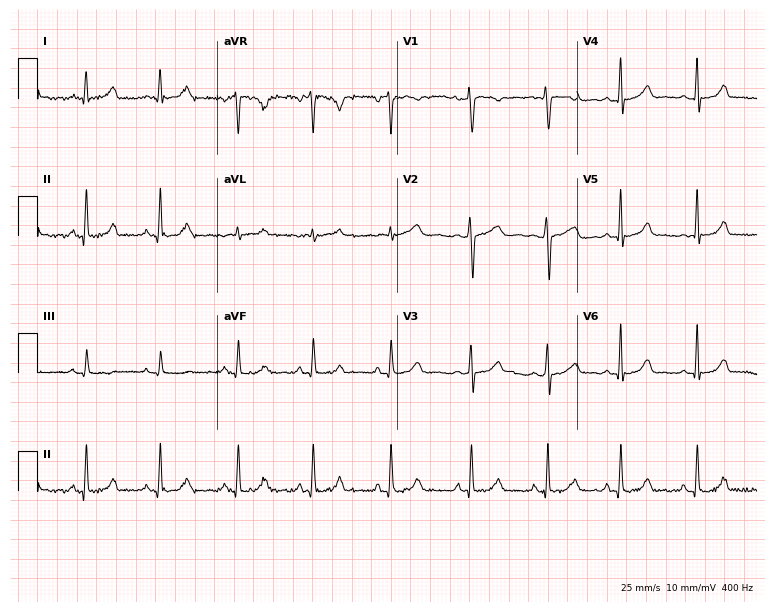
12-lead ECG from a 33-year-old female patient. Recorded interpretation: within normal limits.